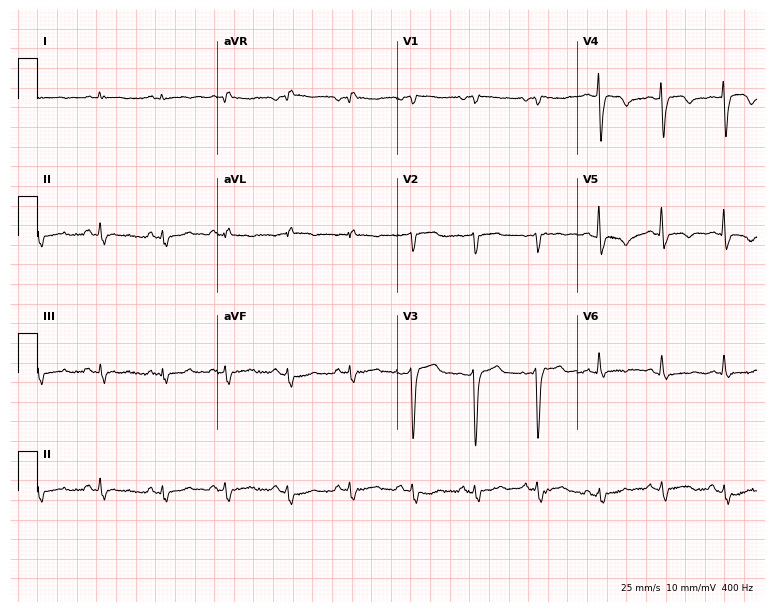
Resting 12-lead electrocardiogram. Patient: an 81-year-old male. None of these six findings is recorded: first-degree AV block, right bundle branch block, left bundle branch block, sinus bradycardia, atrial fibrillation, sinus tachycardia. Findings outside these six are not listed.